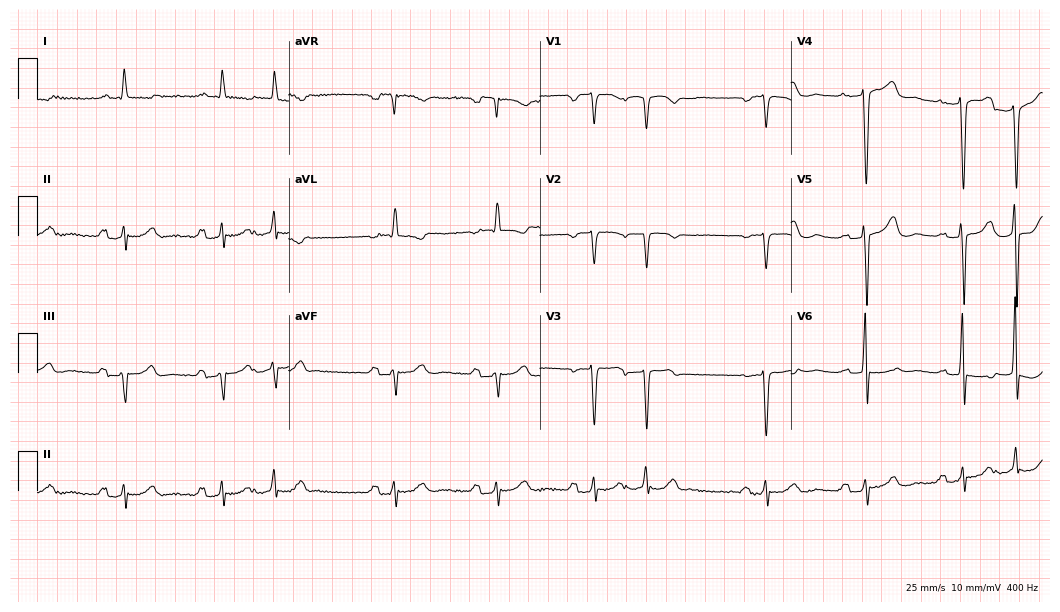
Standard 12-lead ECG recorded from a 71-year-old woman (10.2-second recording at 400 Hz). None of these six findings is recorded: first-degree AV block, right bundle branch block (RBBB), left bundle branch block (LBBB), sinus bradycardia, atrial fibrillation (AF), sinus tachycardia. Other findings, if any, are not listed.